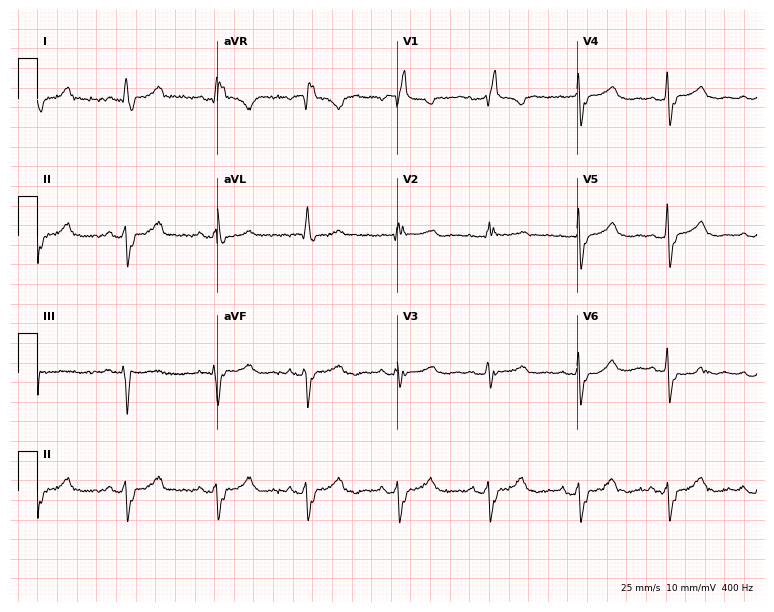
Electrocardiogram (7.3-second recording at 400 Hz), a female, 63 years old. Interpretation includes right bundle branch block.